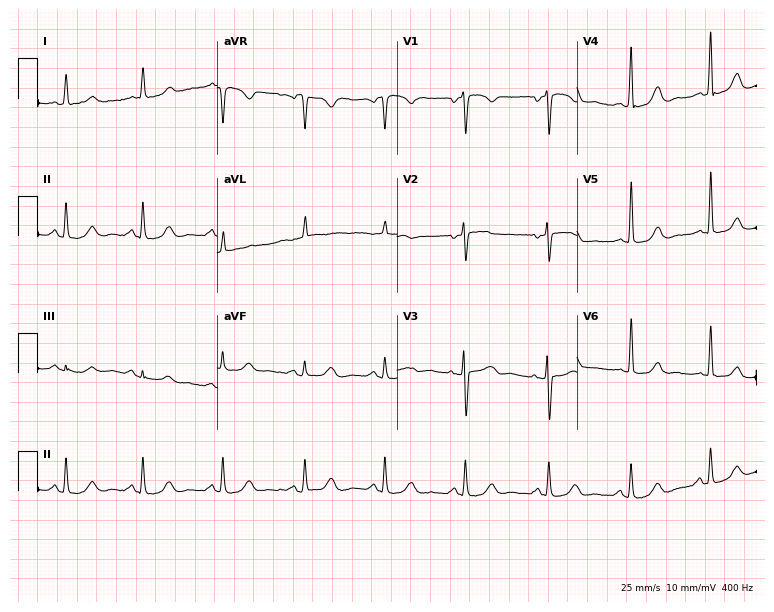
12-lead ECG from a 69-year-old female patient. Screened for six findings — first-degree AV block, right bundle branch block, left bundle branch block, sinus bradycardia, atrial fibrillation, sinus tachycardia — none is recorded.